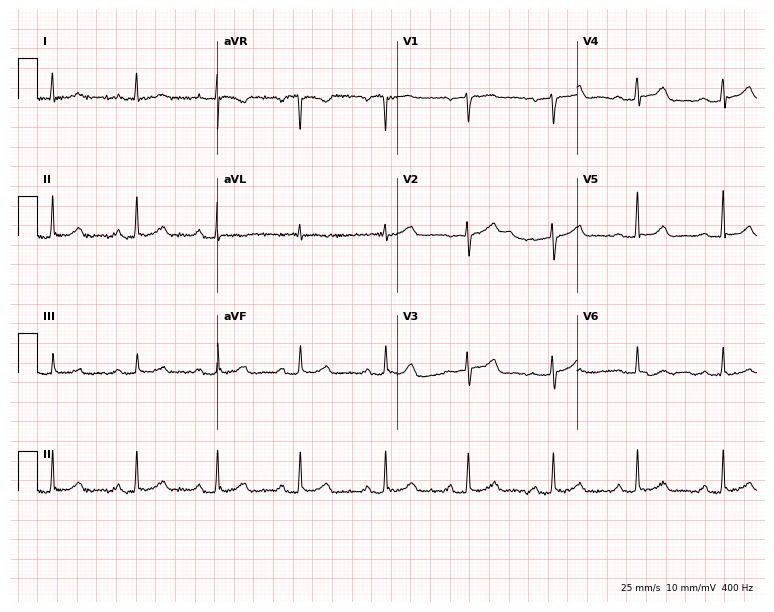
Resting 12-lead electrocardiogram (7.3-second recording at 400 Hz). Patient: a female, 71 years old. The tracing shows first-degree AV block.